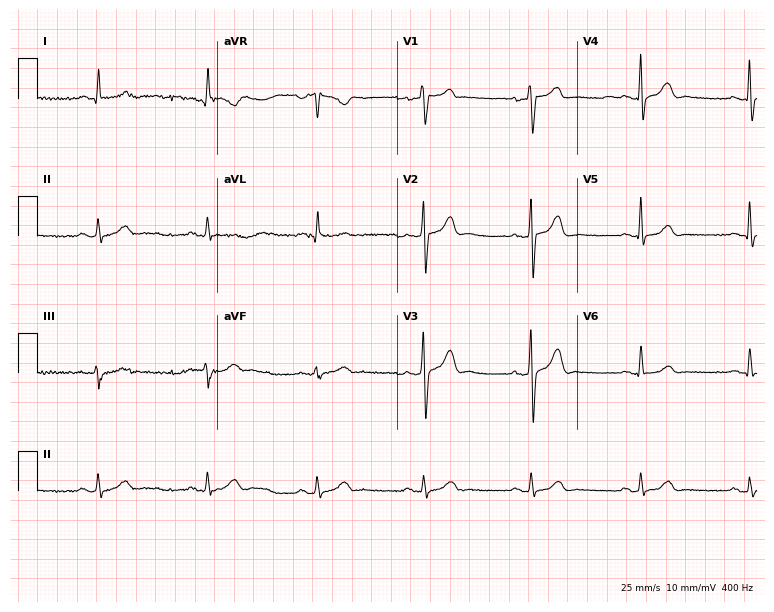
12-lead ECG from a man, 18 years old (7.3-second recording at 400 Hz). Recorded interpretation: within normal limits.